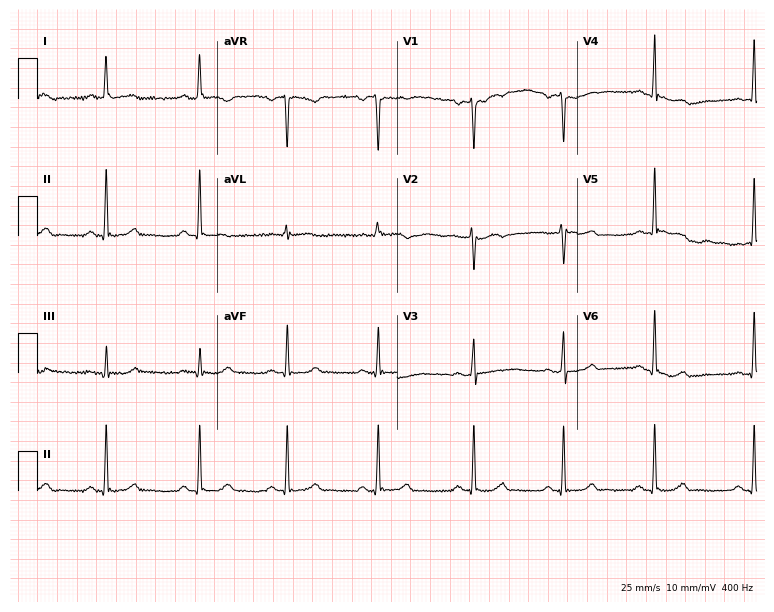
ECG (7.3-second recording at 400 Hz) — a woman, 34 years old. Labelled as a normal ECG.